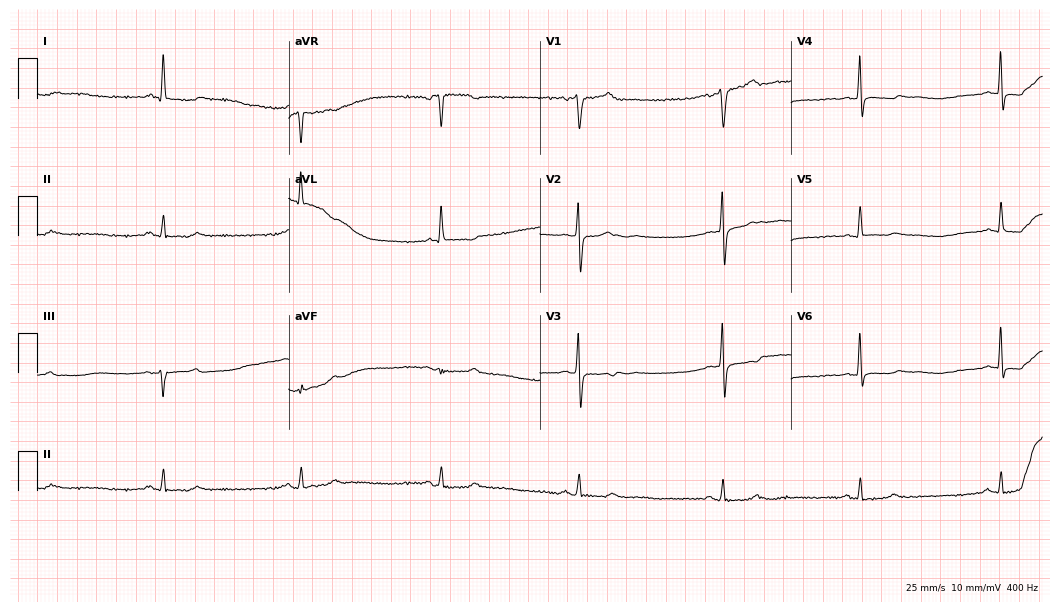
12-lead ECG from a woman, 68 years old. No first-degree AV block, right bundle branch block, left bundle branch block, sinus bradycardia, atrial fibrillation or sinus tachycardia recorded for this tracing.